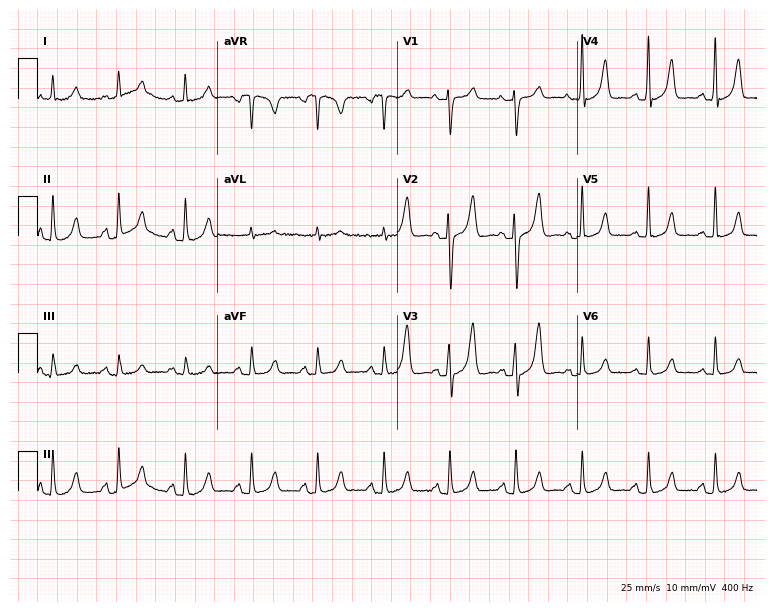
Resting 12-lead electrocardiogram (7.3-second recording at 400 Hz). Patient: a 79-year-old female. Read as a normal ECG.